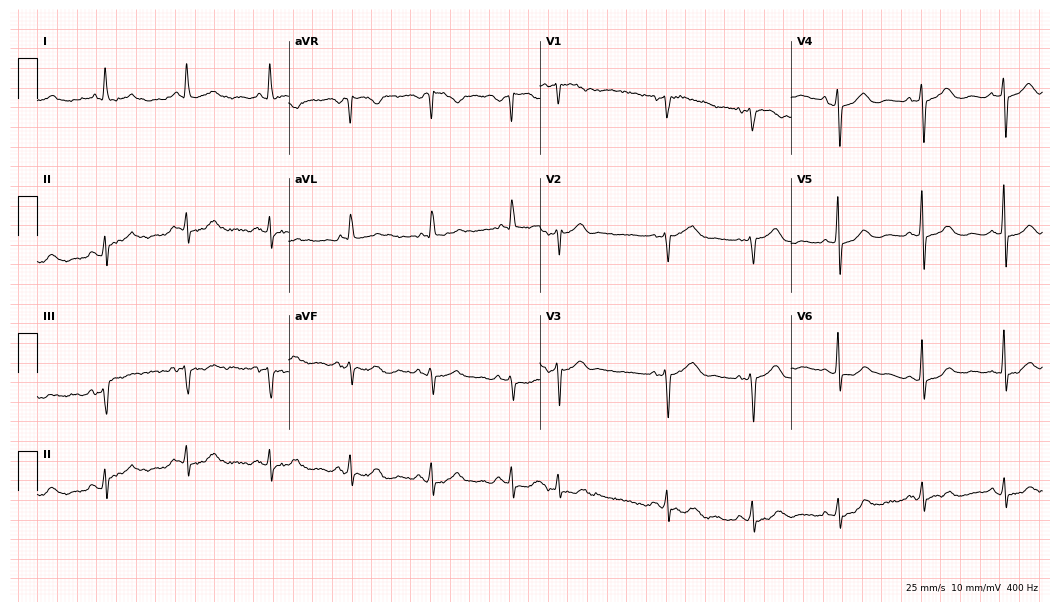
Electrocardiogram, a female, 79 years old. Of the six screened findings (first-degree AV block, right bundle branch block, left bundle branch block, sinus bradycardia, atrial fibrillation, sinus tachycardia), none is recorded.